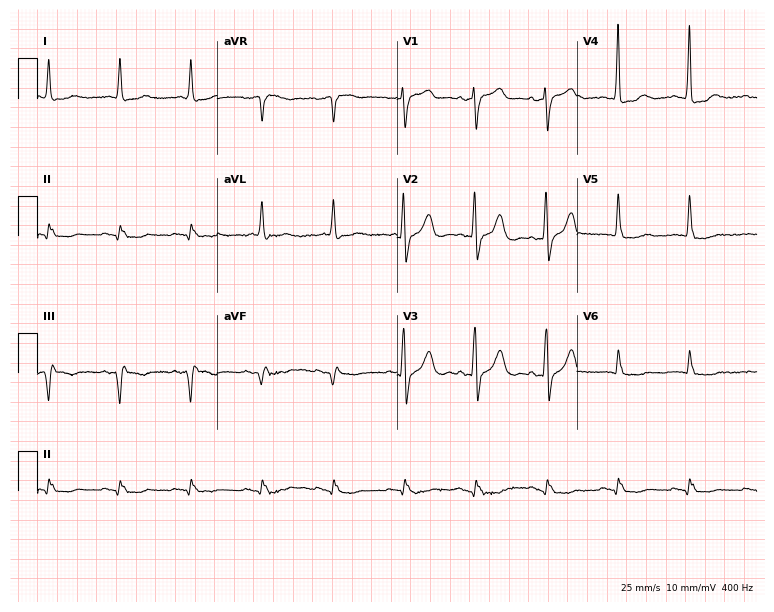
12-lead ECG from a man, 75 years old. Screened for six findings — first-degree AV block, right bundle branch block, left bundle branch block, sinus bradycardia, atrial fibrillation, sinus tachycardia — none is recorded.